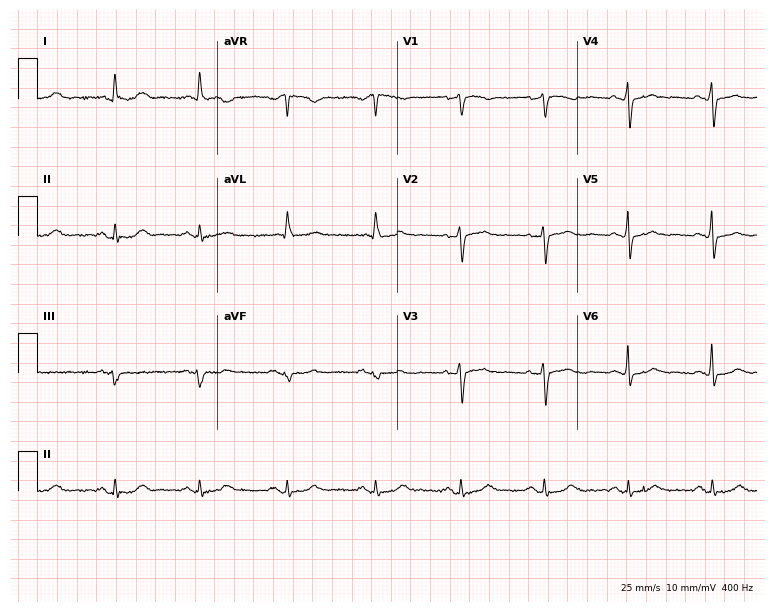
Resting 12-lead electrocardiogram (7.3-second recording at 400 Hz). Patient: a 66-year-old female. None of these six findings is recorded: first-degree AV block, right bundle branch block, left bundle branch block, sinus bradycardia, atrial fibrillation, sinus tachycardia. Only these six findings were labelled.